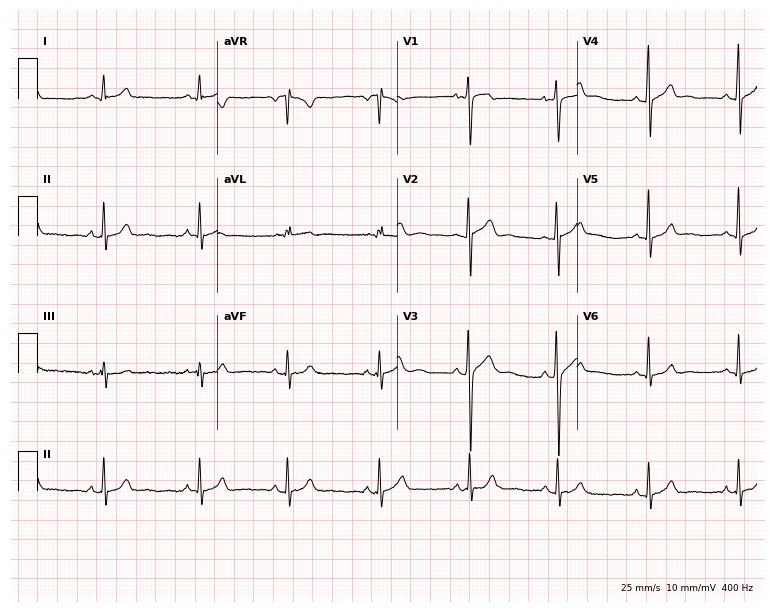
12-lead ECG from a 21-year-old man. Recorded interpretation: within normal limits.